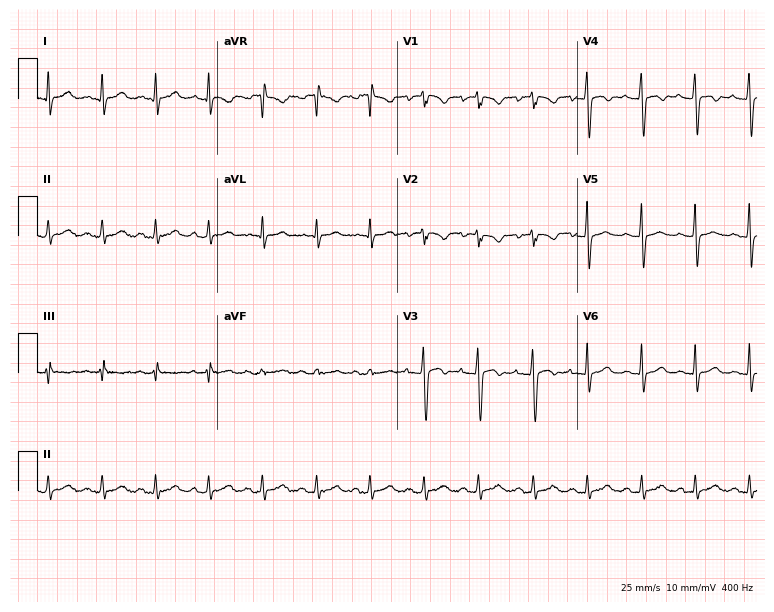
Electrocardiogram (7.3-second recording at 400 Hz), a female patient, 22 years old. Interpretation includes sinus tachycardia (a sinus rate of 100 beats per minute or more).